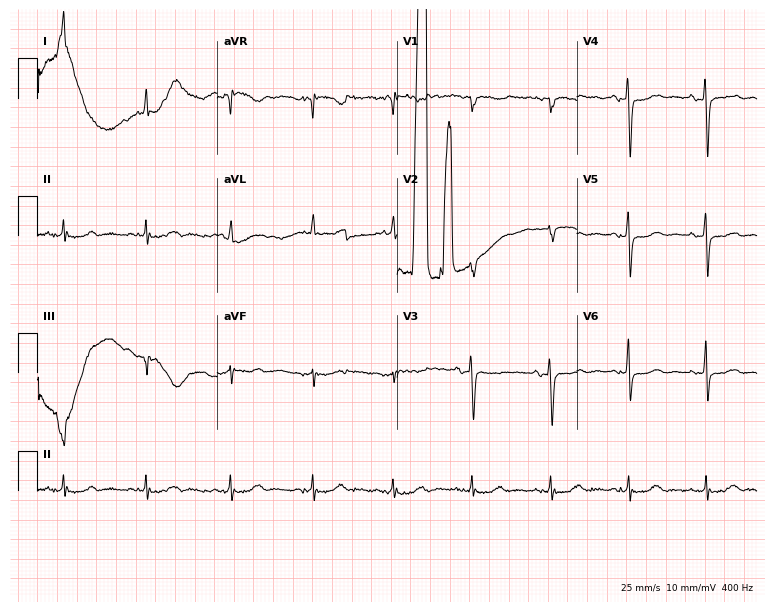
ECG — a 72-year-old female patient. Screened for six findings — first-degree AV block, right bundle branch block, left bundle branch block, sinus bradycardia, atrial fibrillation, sinus tachycardia — none is recorded. Other findings, if any, are not listed.